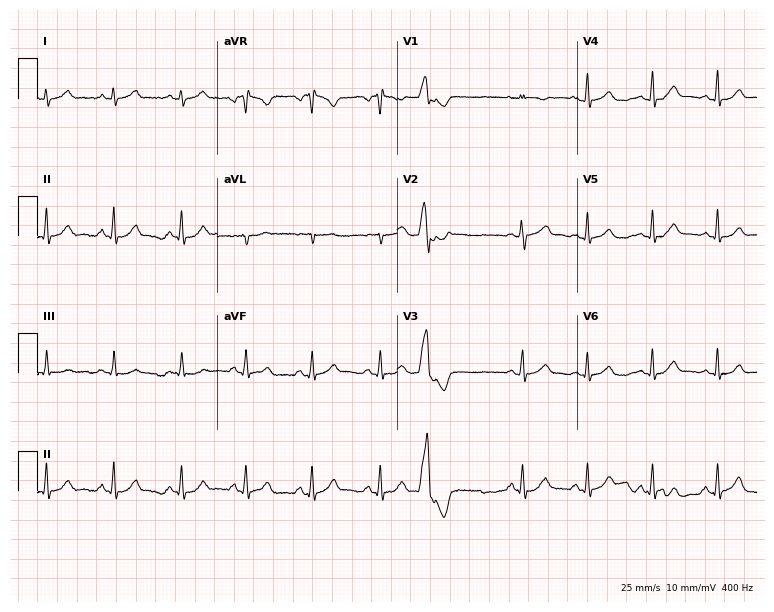
Resting 12-lead electrocardiogram. Patient: a 27-year-old female. Read as a normal ECG.